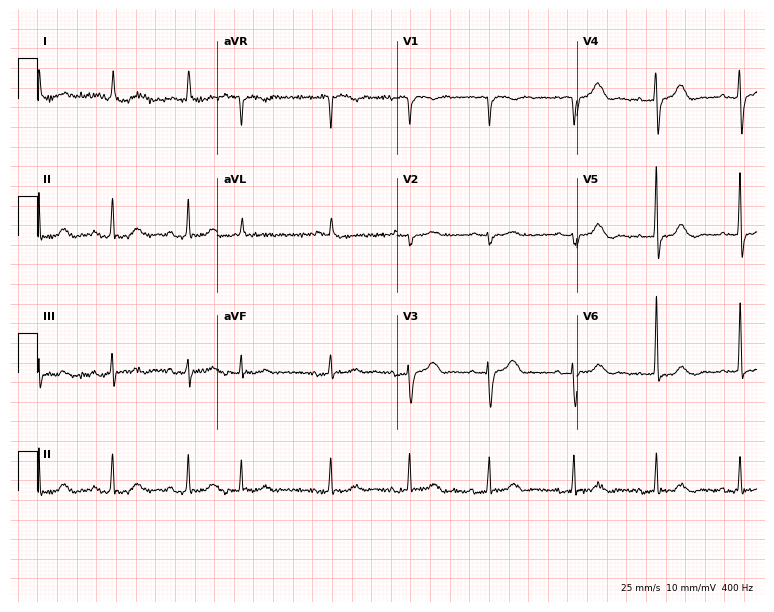
Resting 12-lead electrocardiogram (7.3-second recording at 400 Hz). Patient: a female, 78 years old. None of these six findings is recorded: first-degree AV block, right bundle branch block, left bundle branch block, sinus bradycardia, atrial fibrillation, sinus tachycardia.